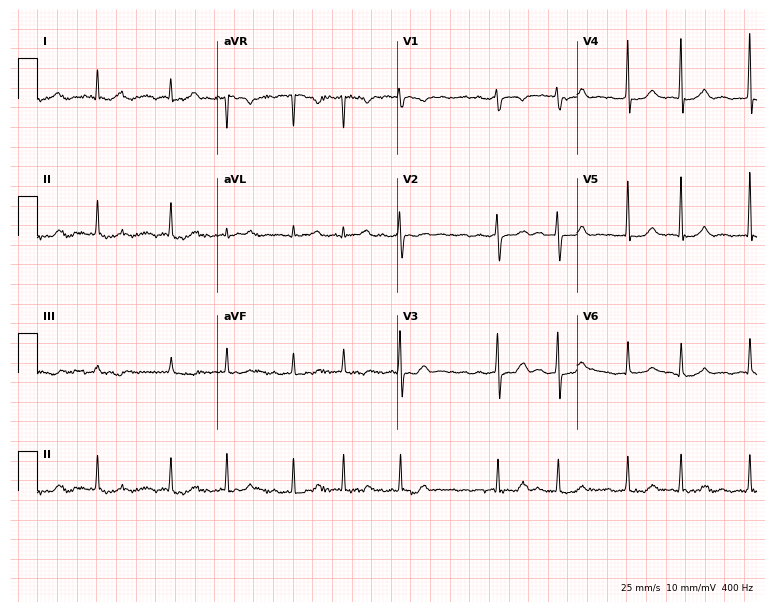
Electrocardiogram, a woman, 80 years old. Interpretation includes atrial fibrillation.